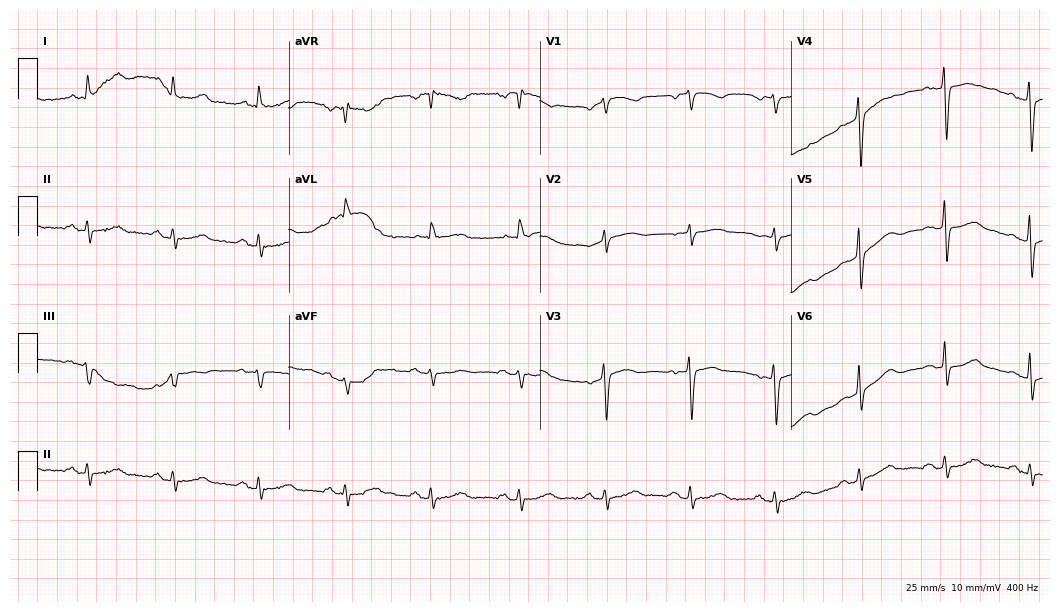
12-lead ECG from a 69-year-old female (10.2-second recording at 400 Hz). Recorded interpretation: within normal limits.